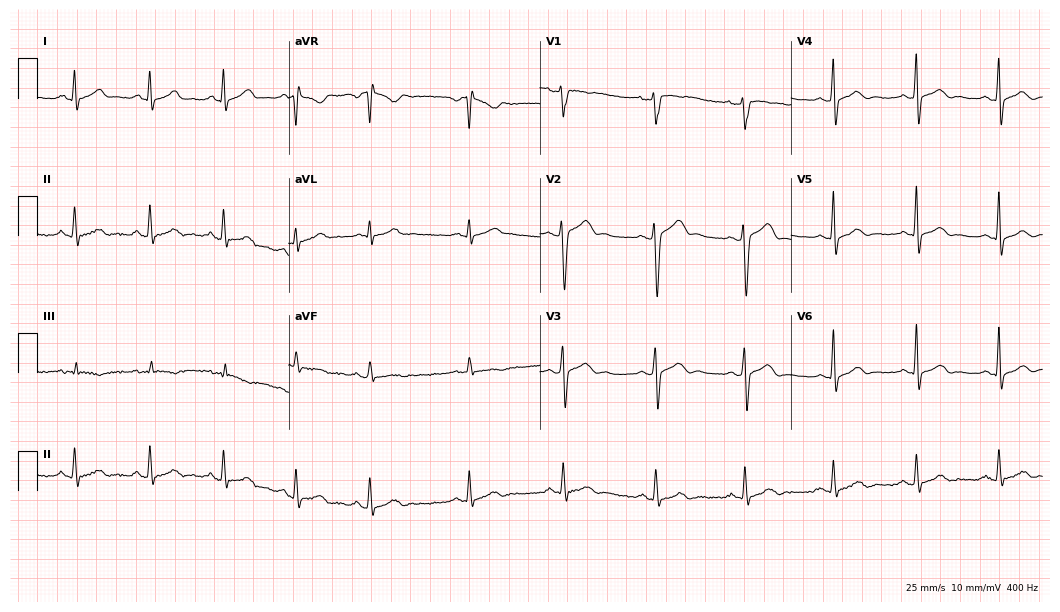
Standard 12-lead ECG recorded from a 23-year-old male patient (10.2-second recording at 400 Hz). Read as a normal ECG.